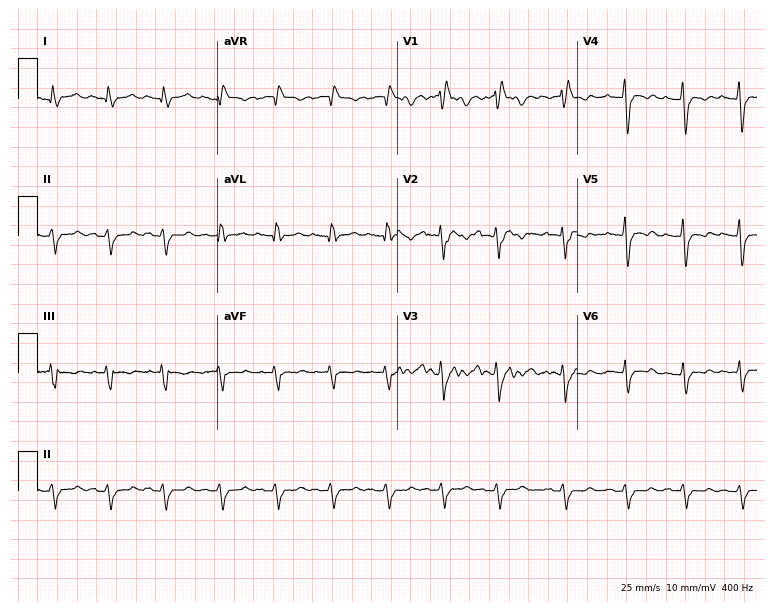
12-lead ECG from a 48-year-old woman. Findings include right bundle branch block.